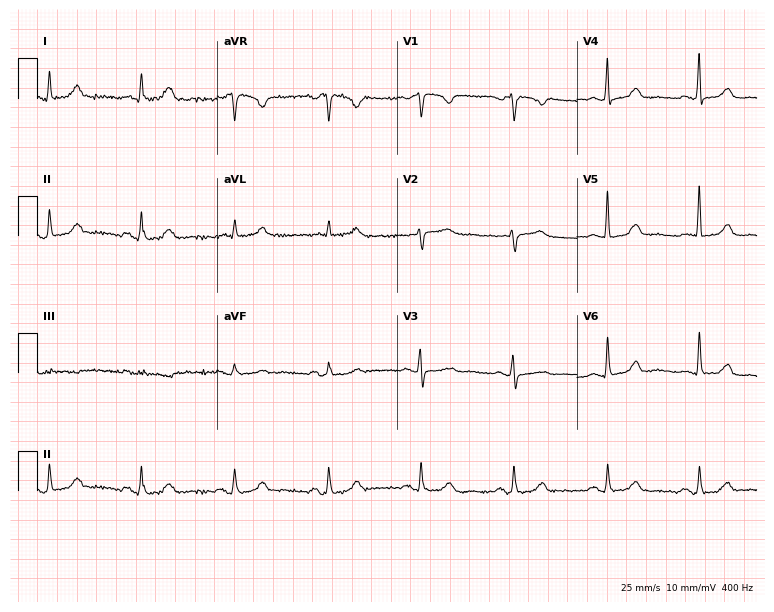
12-lead ECG from a 61-year-old woman. Labelled as a normal ECG.